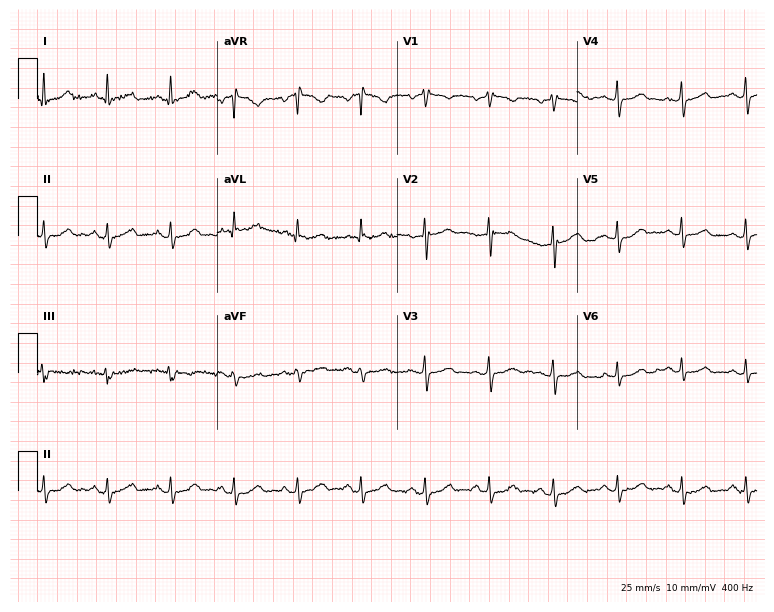
12-lead ECG (7.3-second recording at 400 Hz) from a 58-year-old female. Labelled as a normal ECG.